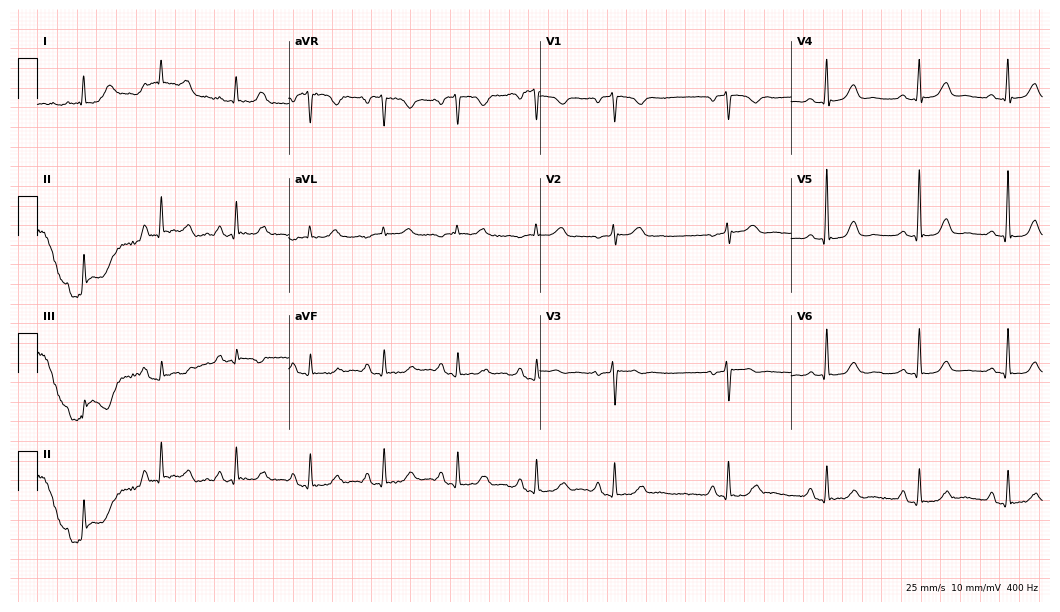
Resting 12-lead electrocardiogram. Patient: a woman, 60 years old. None of these six findings is recorded: first-degree AV block, right bundle branch block, left bundle branch block, sinus bradycardia, atrial fibrillation, sinus tachycardia. Other findings, if any, are not listed.